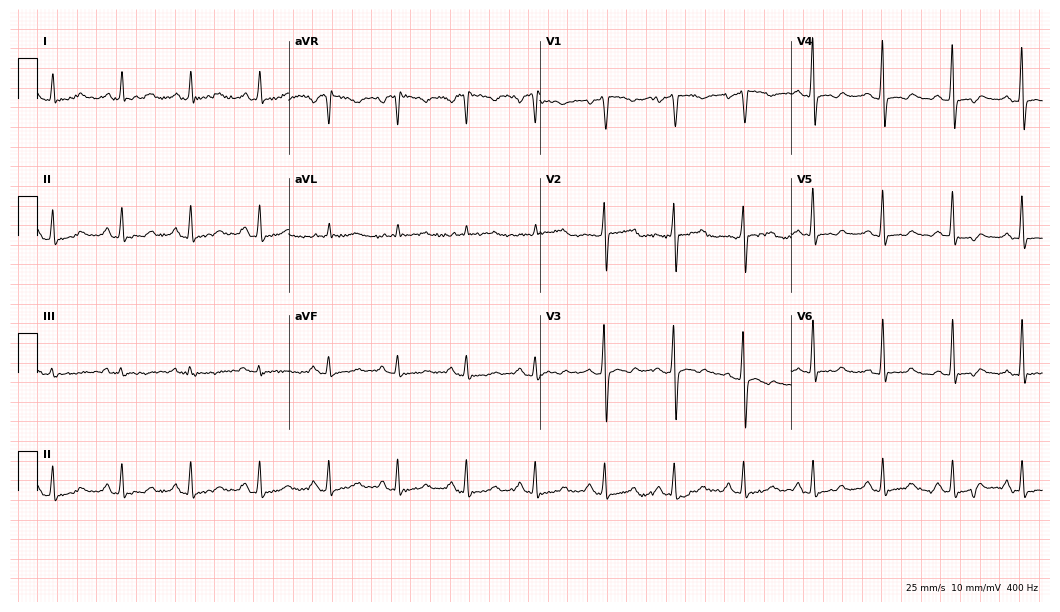
ECG — a female, 59 years old. Labelled as a normal ECG.